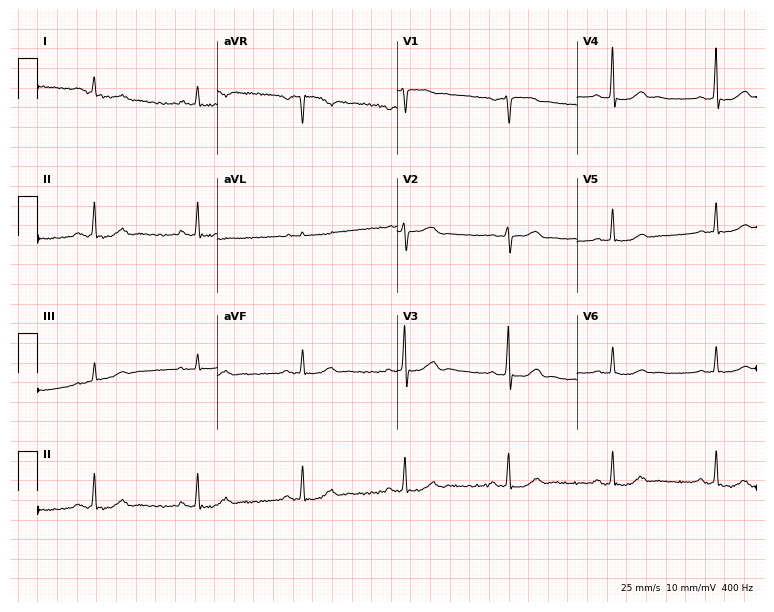
Electrocardiogram, a man, 71 years old. Of the six screened findings (first-degree AV block, right bundle branch block, left bundle branch block, sinus bradycardia, atrial fibrillation, sinus tachycardia), none is recorded.